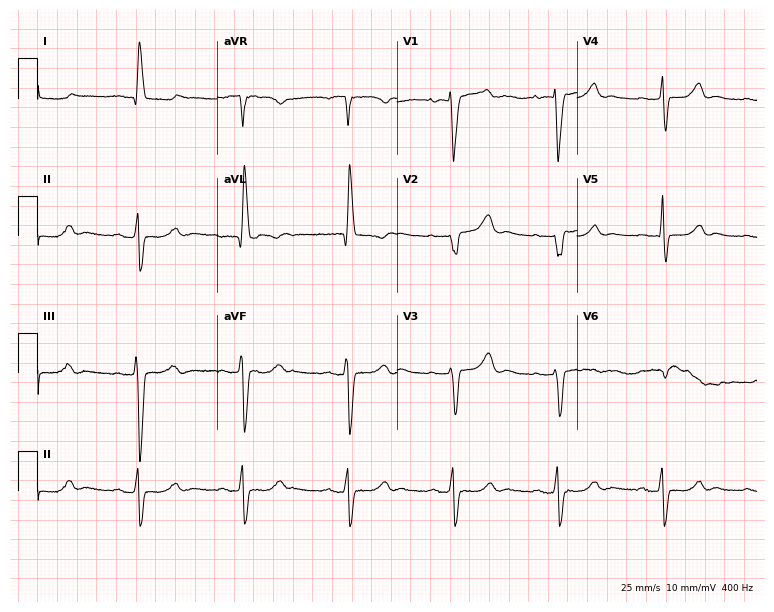
Standard 12-lead ECG recorded from a 71-year-old female patient. None of these six findings is recorded: first-degree AV block, right bundle branch block, left bundle branch block, sinus bradycardia, atrial fibrillation, sinus tachycardia. Findings outside these six are not listed.